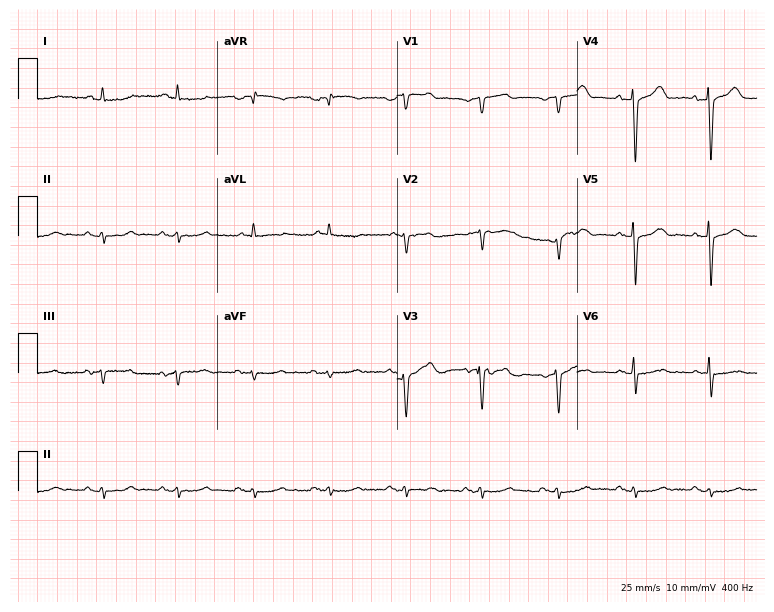
12-lead ECG from a male patient, 80 years old. No first-degree AV block, right bundle branch block, left bundle branch block, sinus bradycardia, atrial fibrillation or sinus tachycardia recorded for this tracing. Only these six findings were labelled.